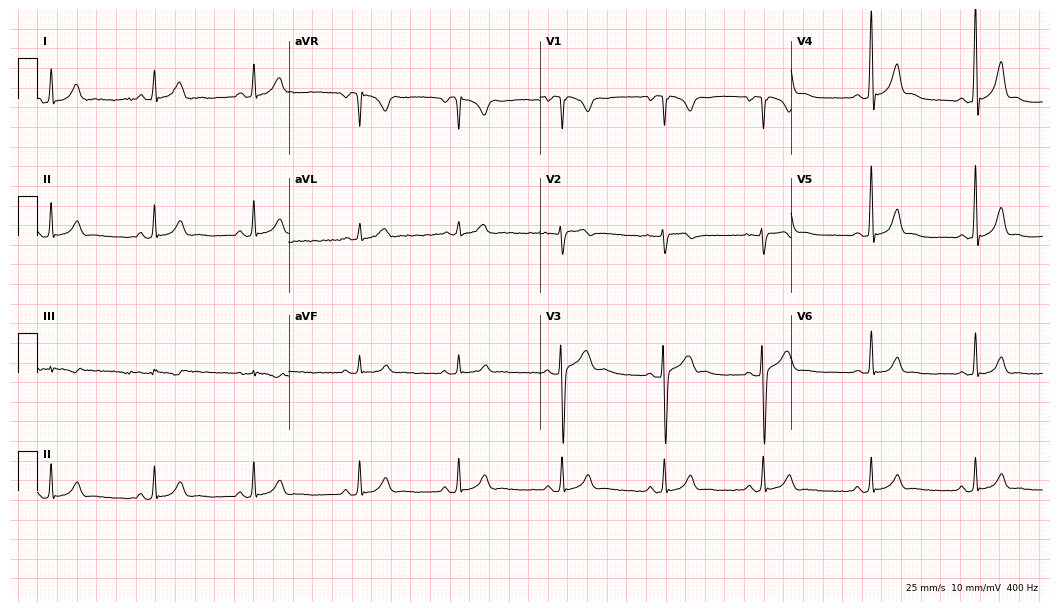
Standard 12-lead ECG recorded from an 18-year-old male patient. Read as a normal ECG.